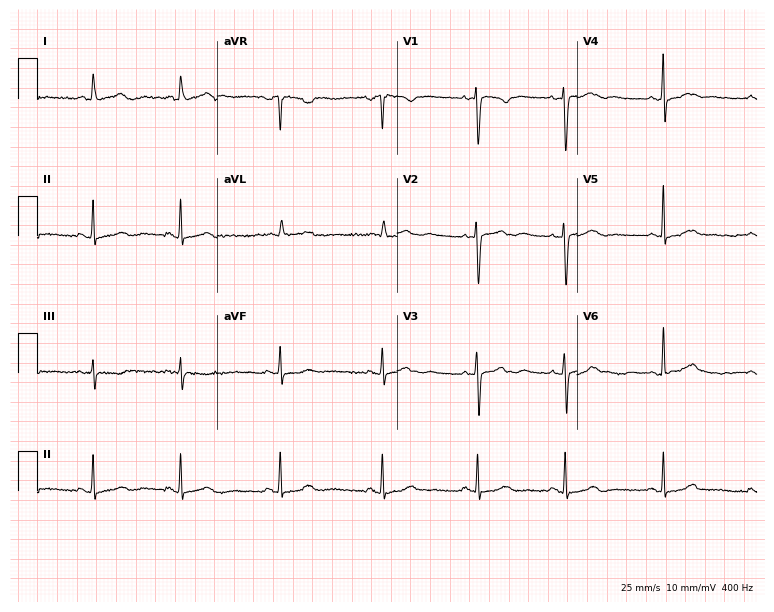
12-lead ECG from a 47-year-old female. Labelled as a normal ECG.